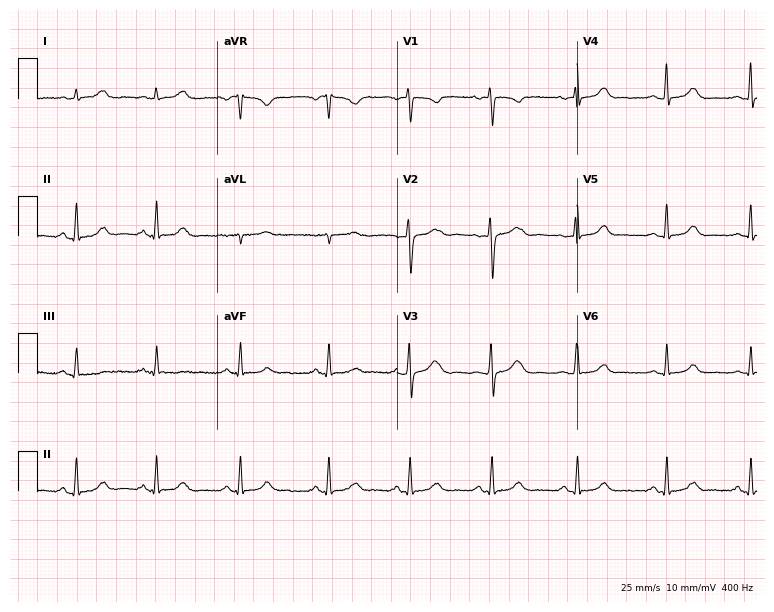
12-lead ECG from a female, 20 years old. Recorded interpretation: within normal limits.